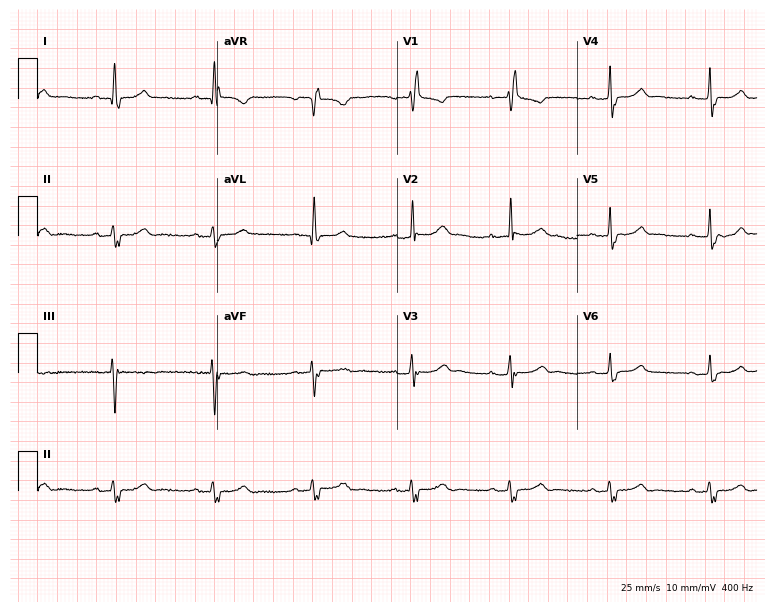
ECG — a female, 60 years old. Screened for six findings — first-degree AV block, right bundle branch block, left bundle branch block, sinus bradycardia, atrial fibrillation, sinus tachycardia — none is recorded.